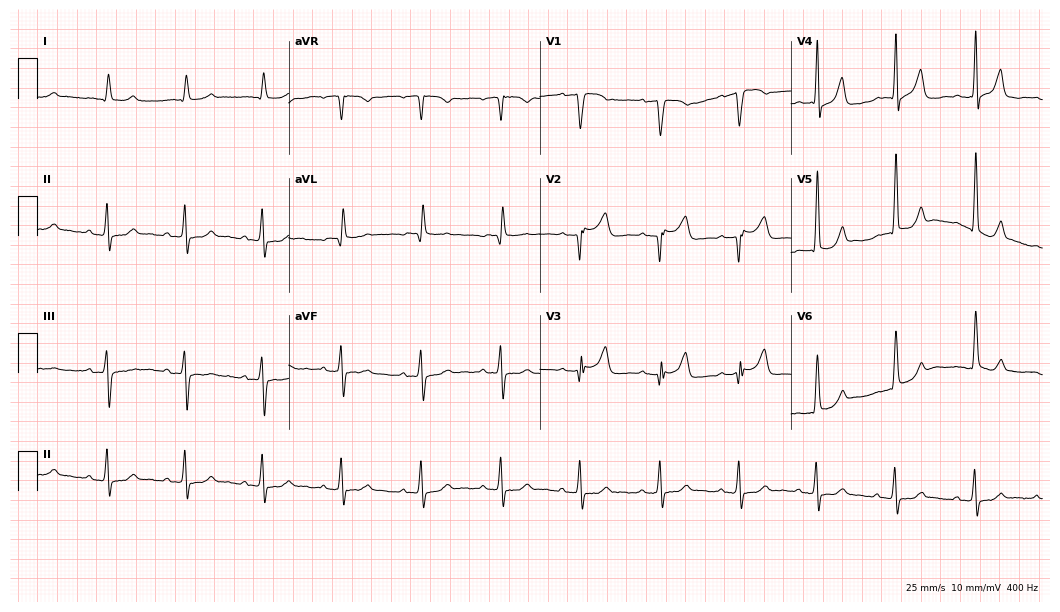
12-lead ECG from a man, 70 years old. No first-degree AV block, right bundle branch block, left bundle branch block, sinus bradycardia, atrial fibrillation or sinus tachycardia recorded for this tracing. Only these six findings were labelled.